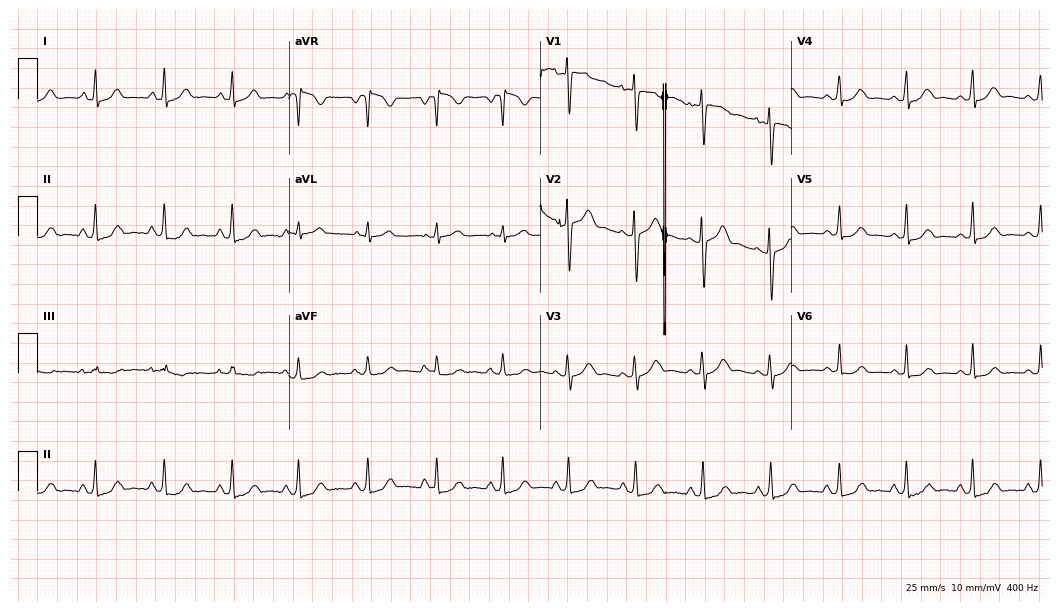
Resting 12-lead electrocardiogram (10.2-second recording at 400 Hz). Patient: a woman, 18 years old. None of these six findings is recorded: first-degree AV block, right bundle branch block, left bundle branch block, sinus bradycardia, atrial fibrillation, sinus tachycardia.